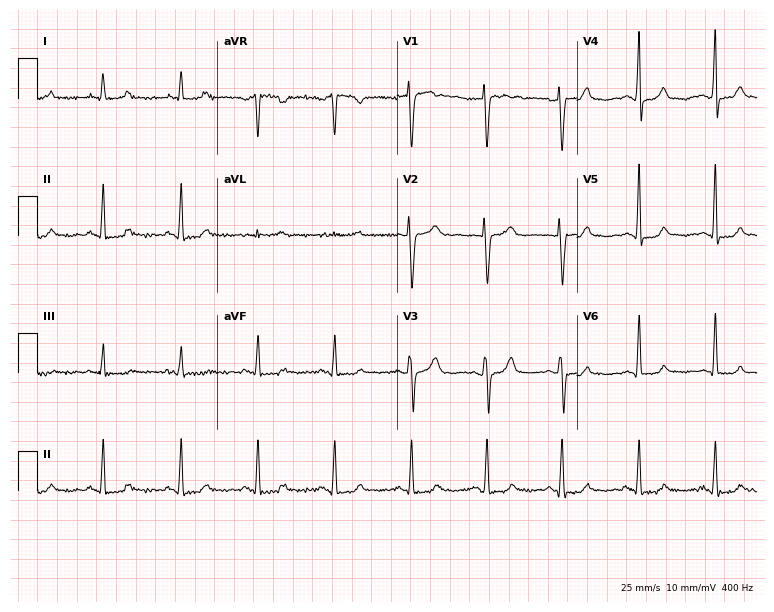
Electrocardiogram, a 44-year-old female patient. Of the six screened findings (first-degree AV block, right bundle branch block, left bundle branch block, sinus bradycardia, atrial fibrillation, sinus tachycardia), none is recorded.